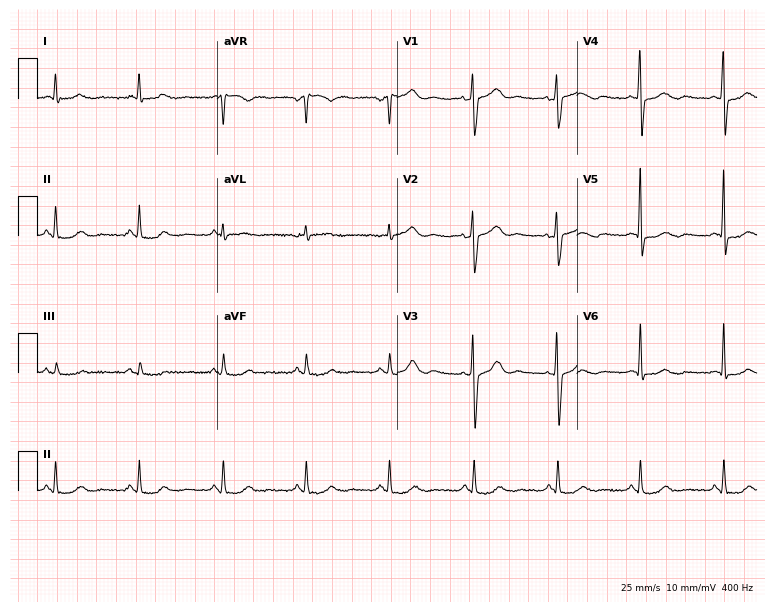
Resting 12-lead electrocardiogram (7.3-second recording at 400 Hz). Patient: a woman, 56 years old. Read as a normal ECG.